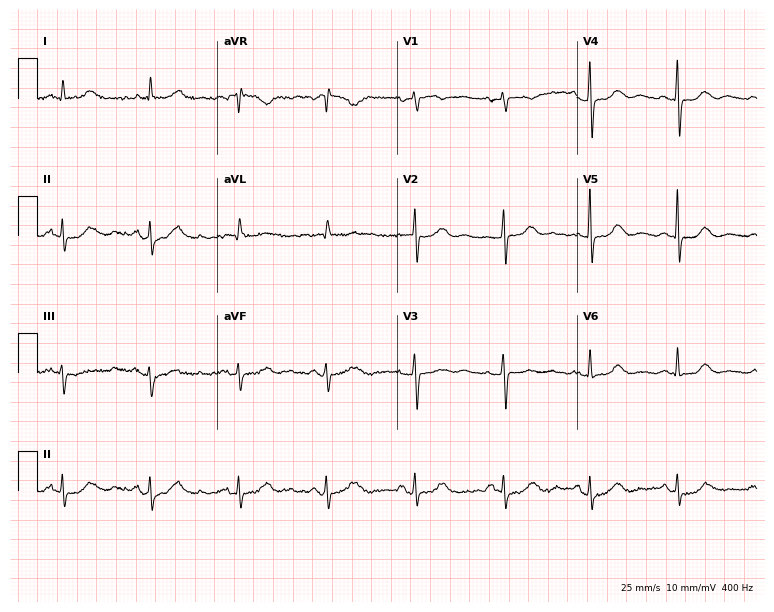
Resting 12-lead electrocardiogram (7.3-second recording at 400 Hz). Patient: a female, 75 years old. None of these six findings is recorded: first-degree AV block, right bundle branch block, left bundle branch block, sinus bradycardia, atrial fibrillation, sinus tachycardia. Findings outside these six are not listed.